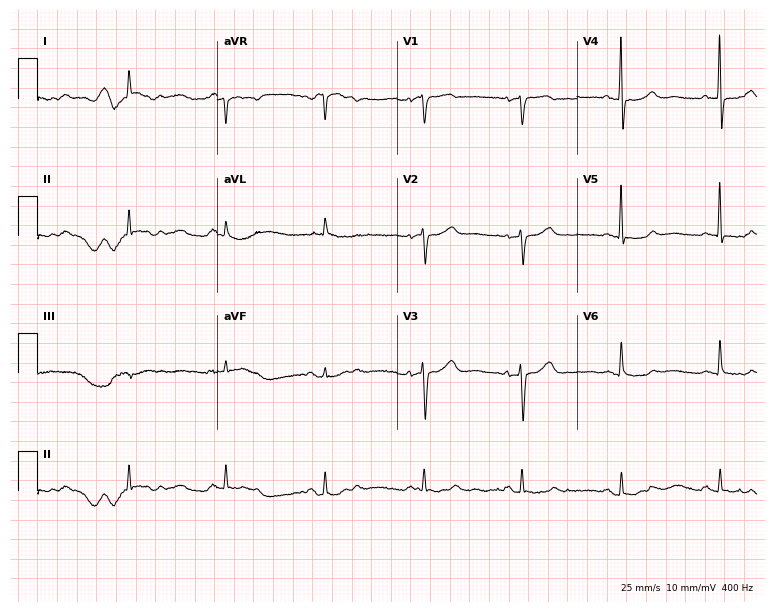
12-lead ECG (7.3-second recording at 400 Hz) from a 69-year-old female patient. Screened for six findings — first-degree AV block, right bundle branch block, left bundle branch block, sinus bradycardia, atrial fibrillation, sinus tachycardia — none is recorded.